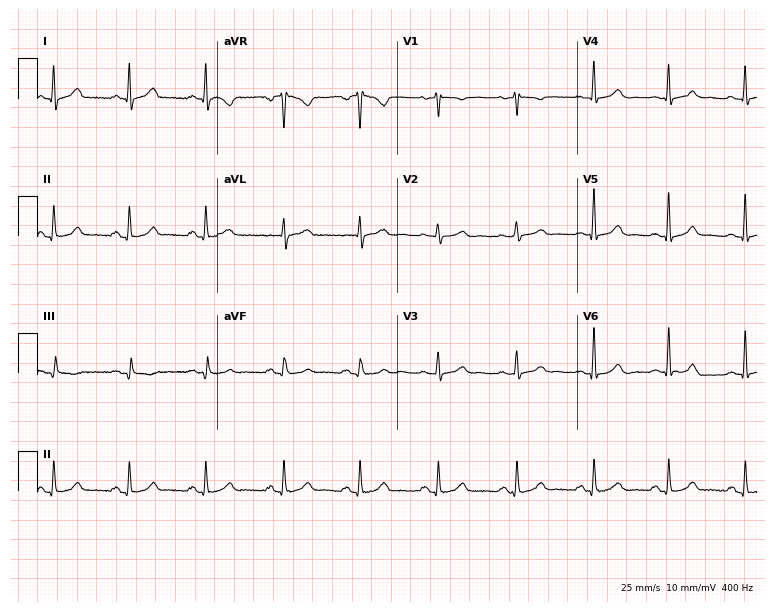
12-lead ECG (7.3-second recording at 400 Hz) from a woman, 49 years old. Screened for six findings — first-degree AV block, right bundle branch block (RBBB), left bundle branch block (LBBB), sinus bradycardia, atrial fibrillation (AF), sinus tachycardia — none is recorded.